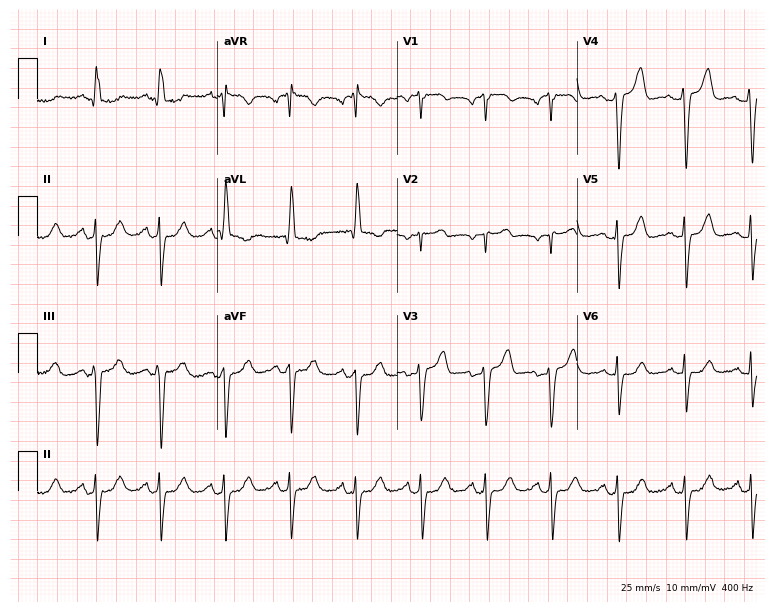
ECG — a 73-year-old woman. Screened for six findings — first-degree AV block, right bundle branch block (RBBB), left bundle branch block (LBBB), sinus bradycardia, atrial fibrillation (AF), sinus tachycardia — none is recorded. Other findings, if any, are not listed.